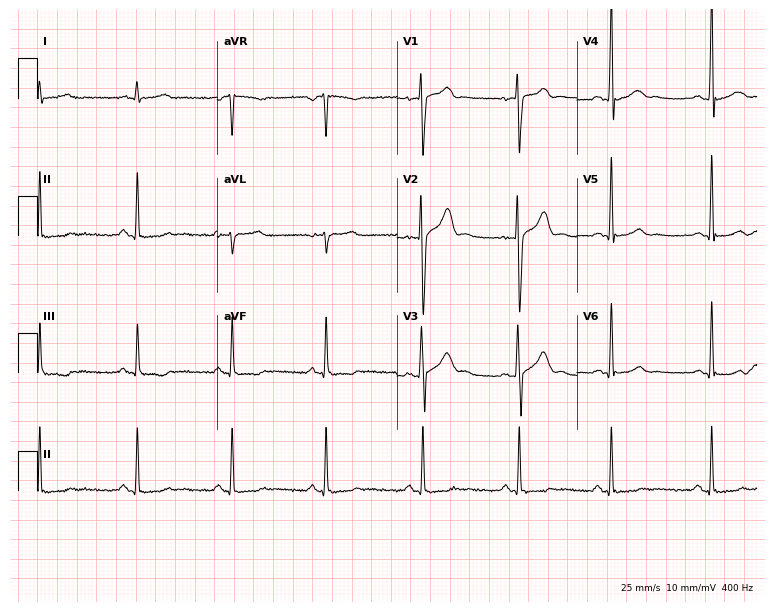
Resting 12-lead electrocardiogram. Patient: a 24-year-old male. Read as a normal ECG.